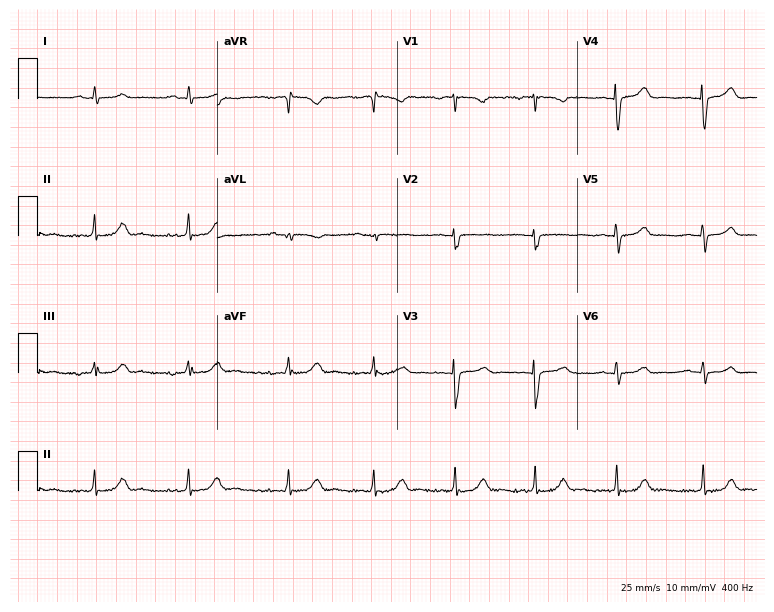
Standard 12-lead ECG recorded from a 23-year-old woman (7.3-second recording at 400 Hz). Read as a normal ECG.